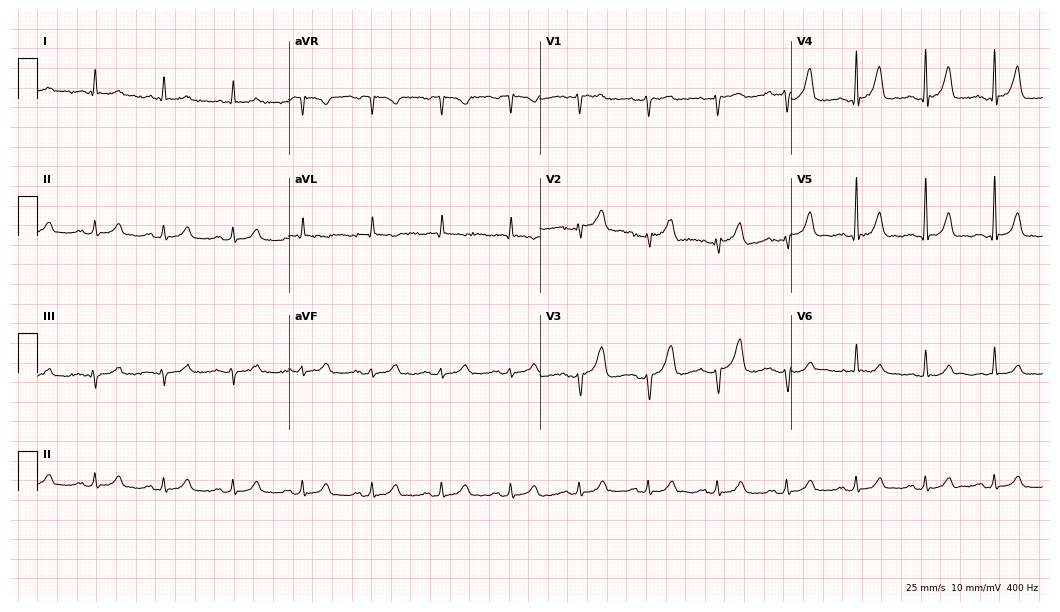
Resting 12-lead electrocardiogram. Patient: a 55-year-old man. Read as a normal ECG.